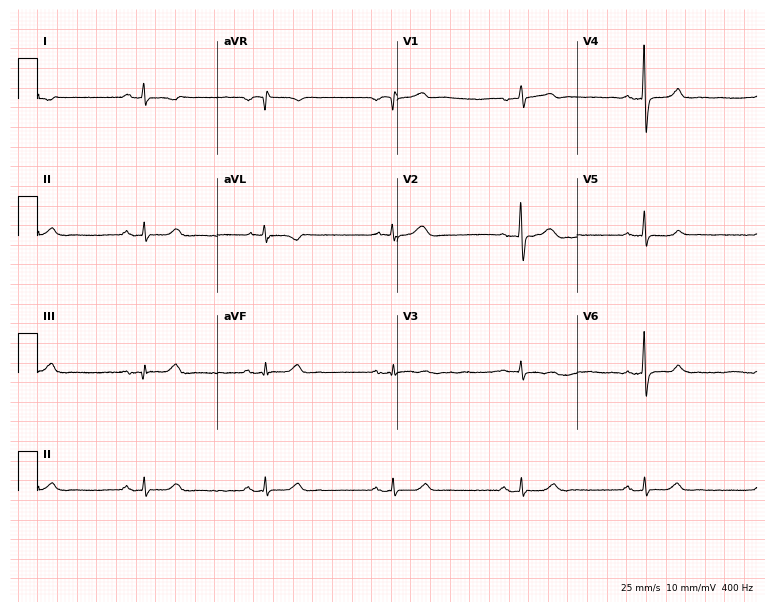
ECG — a female, 66 years old. Screened for six findings — first-degree AV block, right bundle branch block (RBBB), left bundle branch block (LBBB), sinus bradycardia, atrial fibrillation (AF), sinus tachycardia — none is recorded.